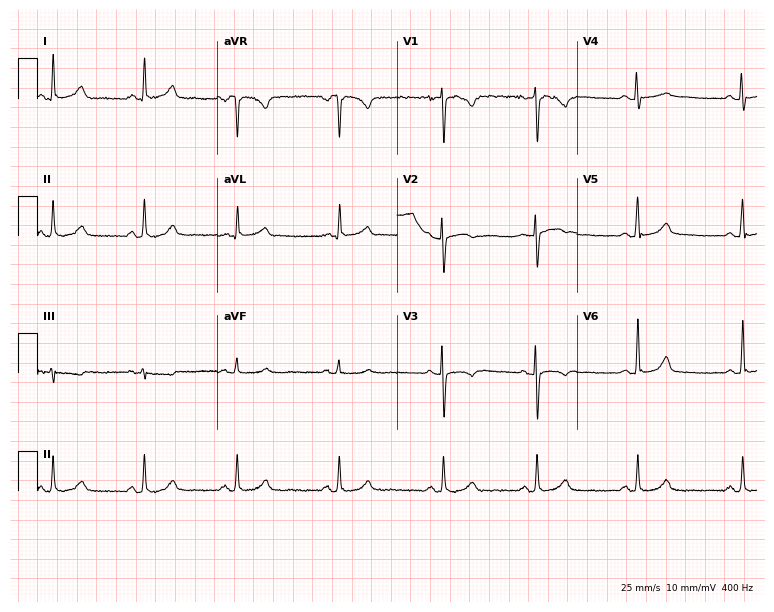
12-lead ECG from a woman, 36 years old (7.3-second recording at 400 Hz). Recorded interpretation: within normal limits.